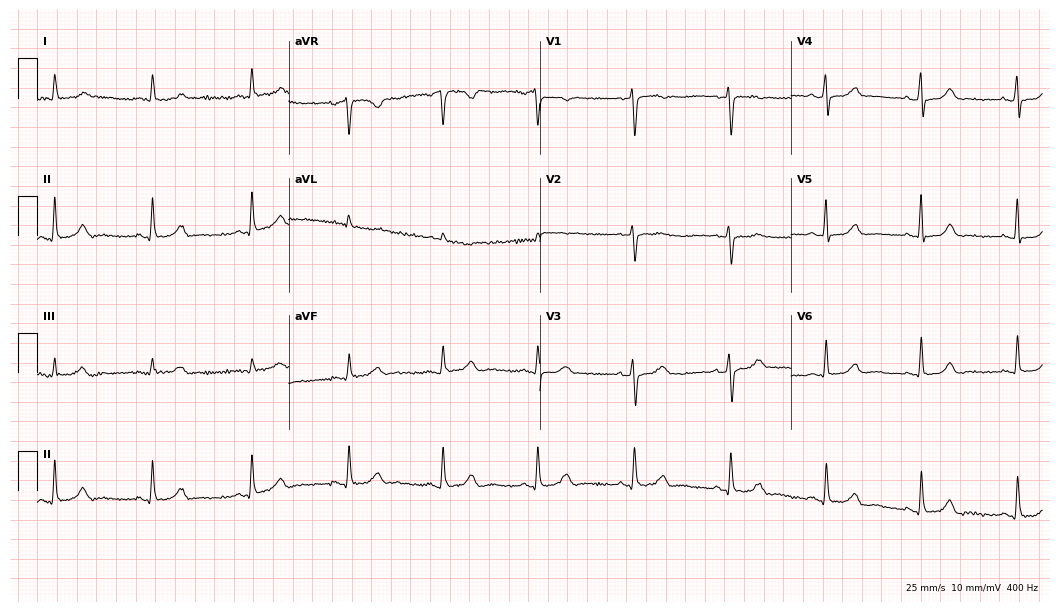
Resting 12-lead electrocardiogram. Patient: a 52-year-old female. Read as a normal ECG.